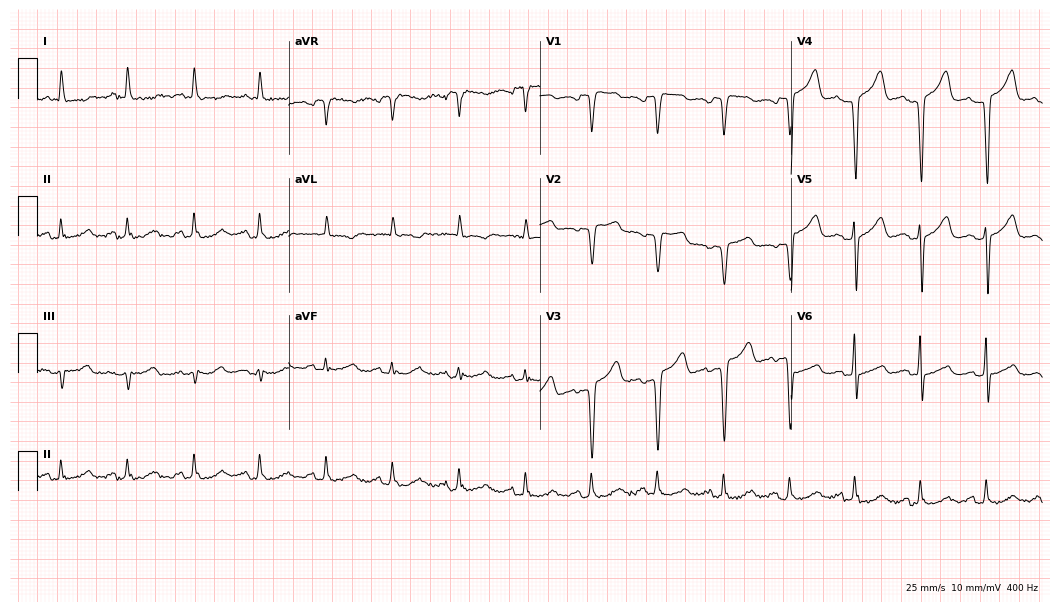
12-lead ECG (10.2-second recording at 400 Hz) from a woman, 66 years old. Screened for six findings — first-degree AV block, right bundle branch block, left bundle branch block, sinus bradycardia, atrial fibrillation, sinus tachycardia — none is recorded.